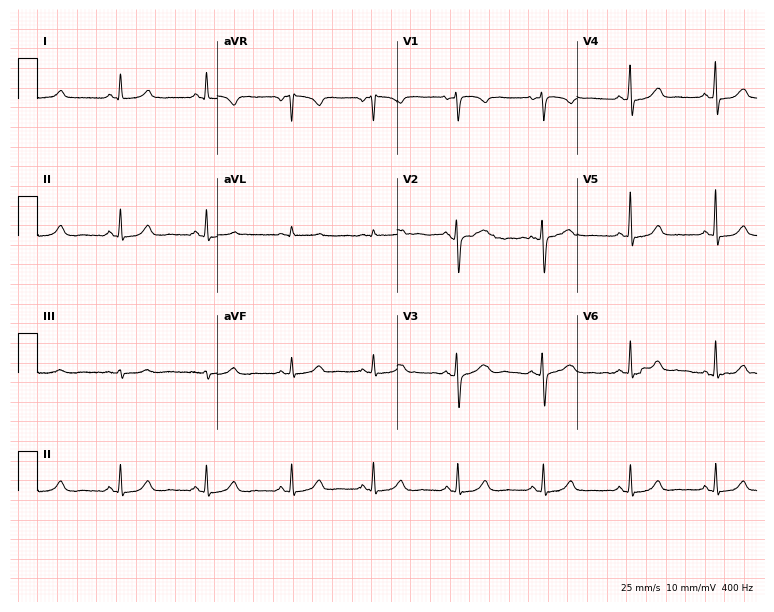
ECG — a 43-year-old female patient. Screened for six findings — first-degree AV block, right bundle branch block, left bundle branch block, sinus bradycardia, atrial fibrillation, sinus tachycardia — none is recorded. Other findings, if any, are not listed.